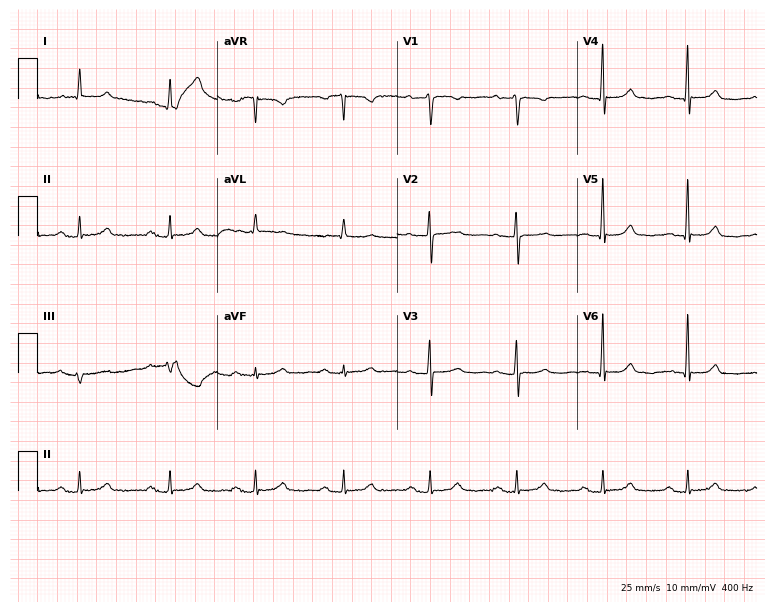
Standard 12-lead ECG recorded from a female patient, 62 years old (7.3-second recording at 400 Hz). Read as a normal ECG.